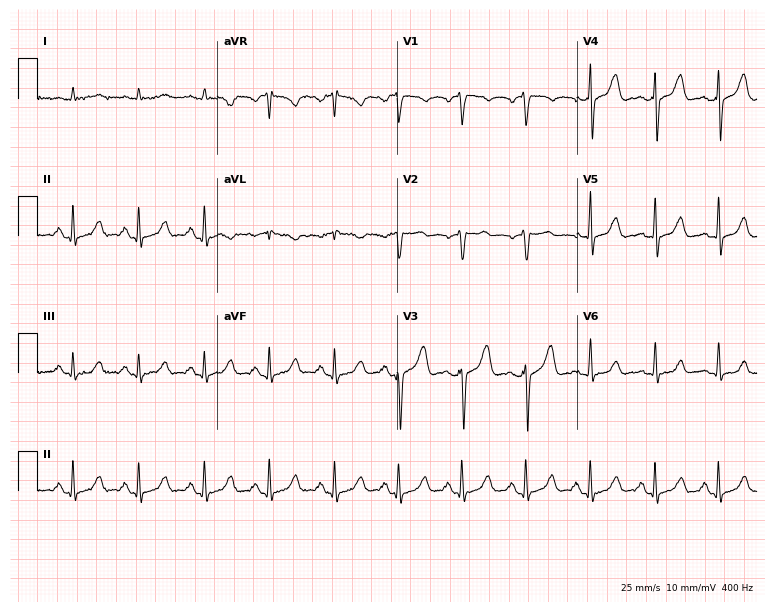
12-lead ECG from a male, 62 years old. Recorded interpretation: within normal limits.